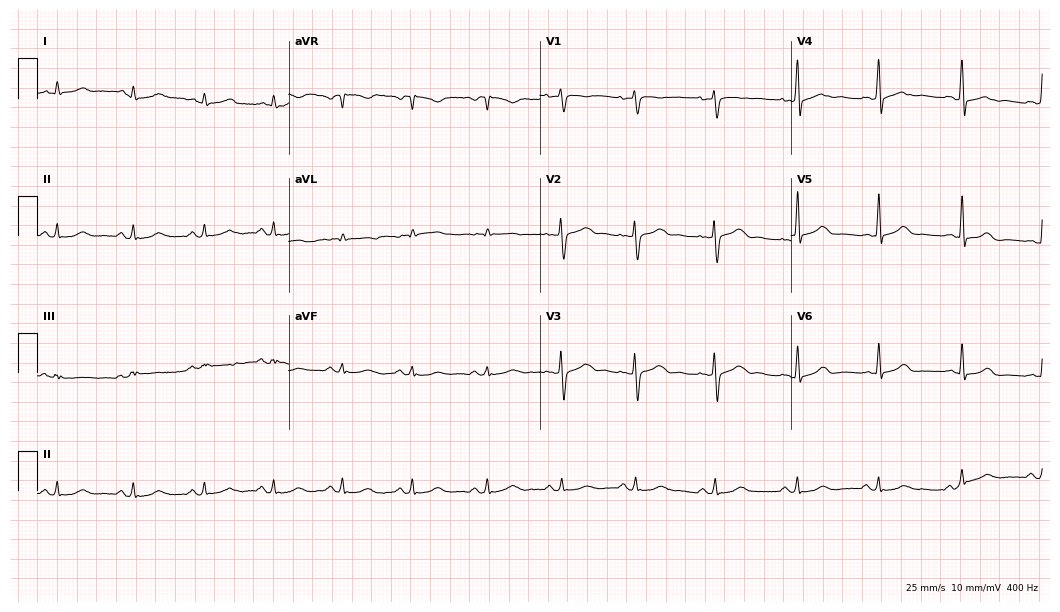
Resting 12-lead electrocardiogram. Patient: a female, 34 years old. None of these six findings is recorded: first-degree AV block, right bundle branch block, left bundle branch block, sinus bradycardia, atrial fibrillation, sinus tachycardia. Other findings, if any, are not listed.